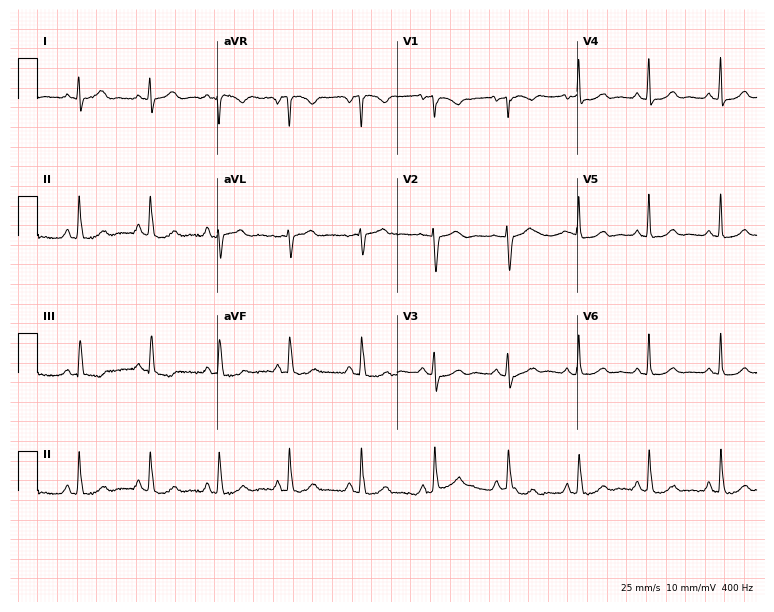
Electrocardiogram (7.3-second recording at 400 Hz), a 65-year-old female. Of the six screened findings (first-degree AV block, right bundle branch block, left bundle branch block, sinus bradycardia, atrial fibrillation, sinus tachycardia), none is recorded.